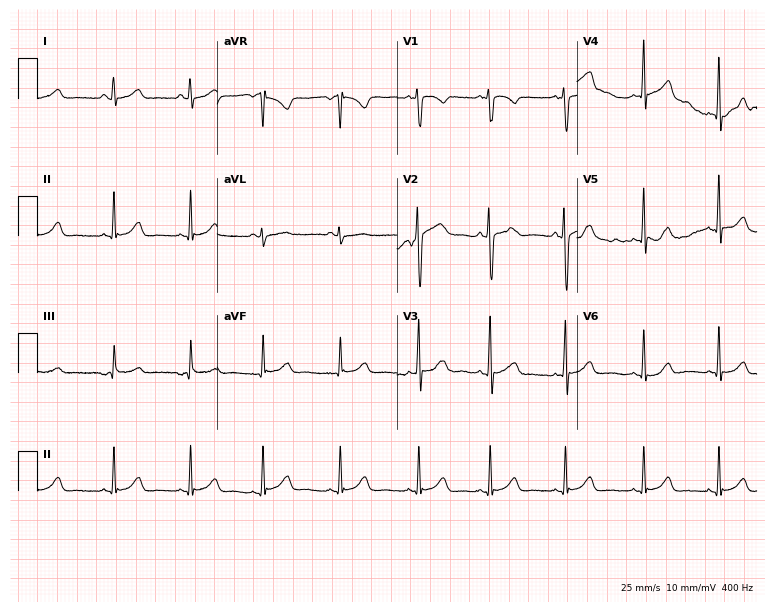
12-lead ECG from a woman, 26 years old. Recorded interpretation: within normal limits.